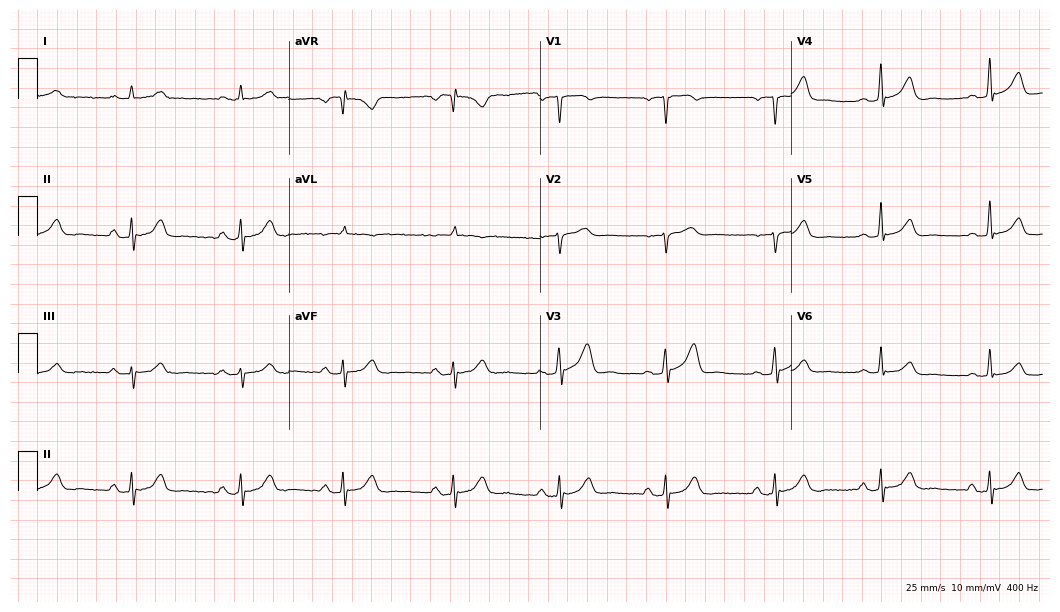
ECG (10.2-second recording at 400 Hz) — a man, 60 years old. Labelled as a normal ECG.